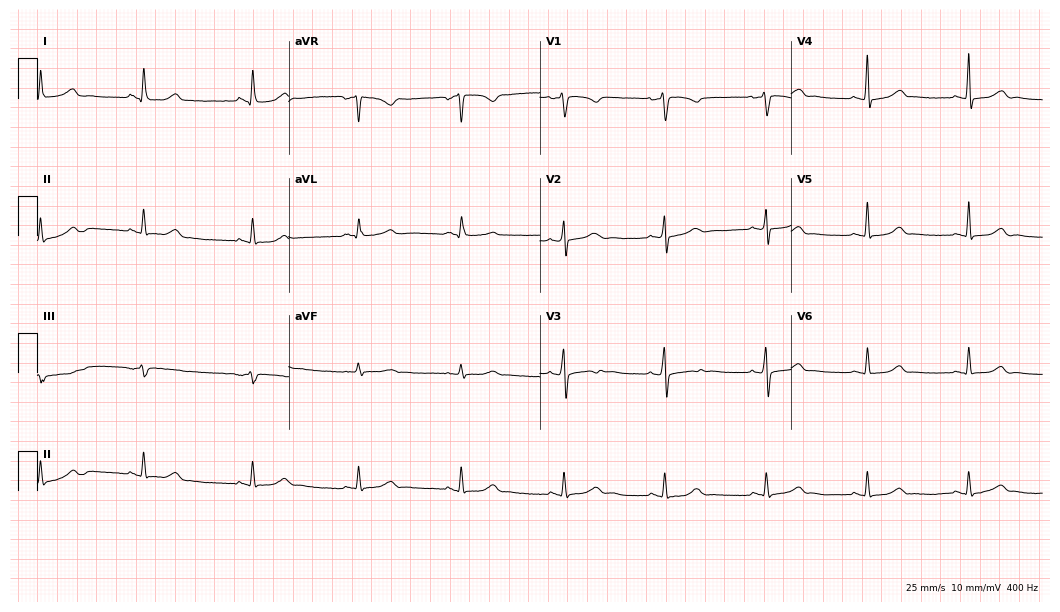
12-lead ECG from a woman, 41 years old. Recorded interpretation: within normal limits.